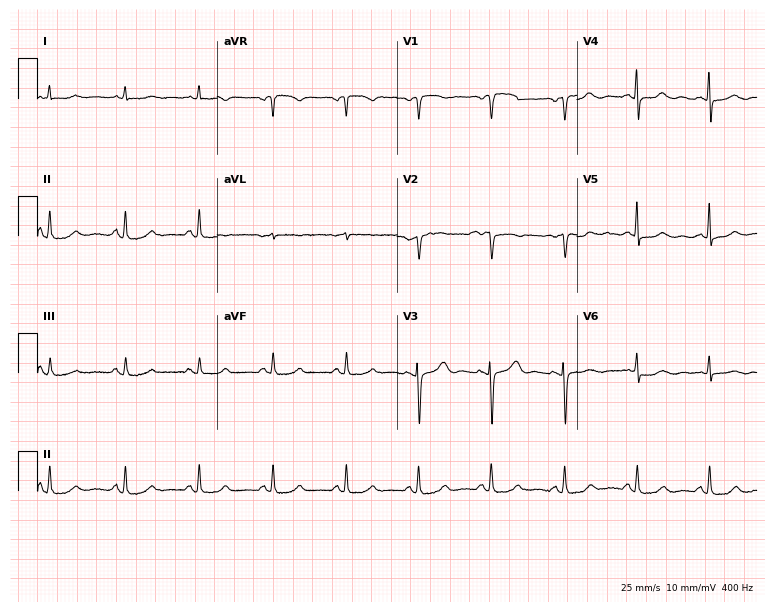
ECG — a 77-year-old female patient. Screened for six findings — first-degree AV block, right bundle branch block, left bundle branch block, sinus bradycardia, atrial fibrillation, sinus tachycardia — none is recorded.